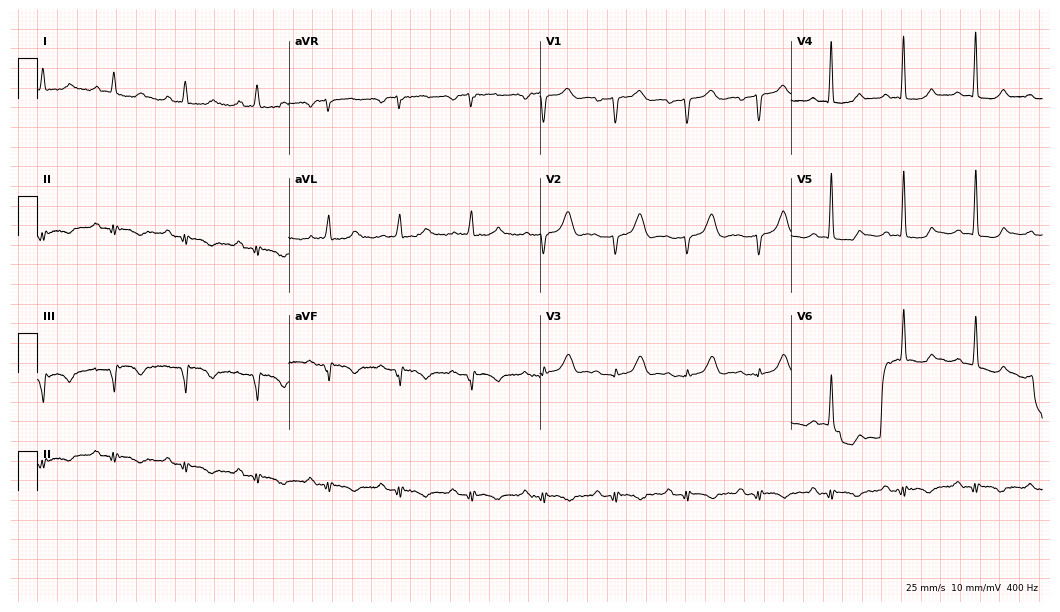
Resting 12-lead electrocardiogram. Patient: a 68-year-old man. None of these six findings is recorded: first-degree AV block, right bundle branch block, left bundle branch block, sinus bradycardia, atrial fibrillation, sinus tachycardia.